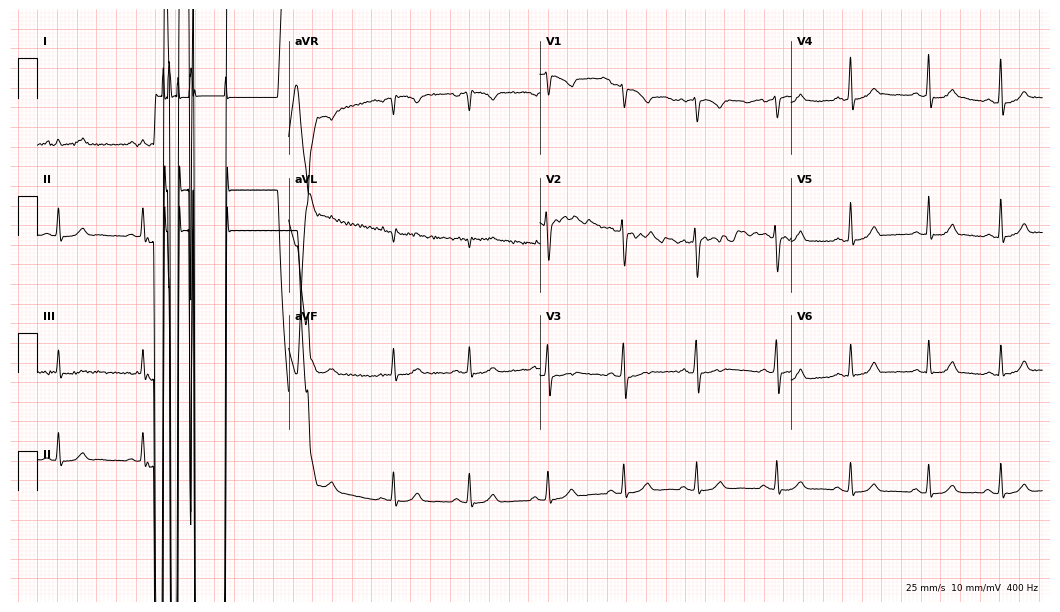
Electrocardiogram (10.2-second recording at 400 Hz), a female, 26 years old. Of the six screened findings (first-degree AV block, right bundle branch block, left bundle branch block, sinus bradycardia, atrial fibrillation, sinus tachycardia), none is recorded. Only these six findings were labelled.